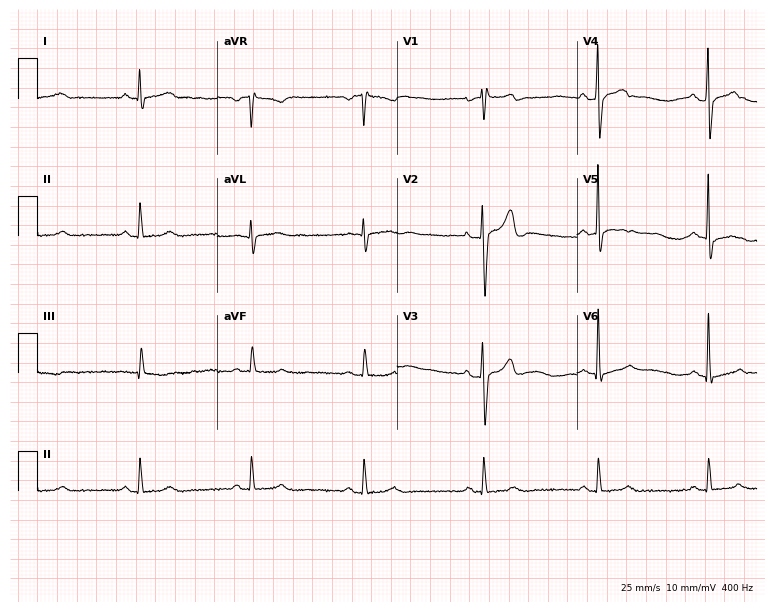
ECG (7.3-second recording at 400 Hz) — a 57-year-old male patient. Labelled as a normal ECG.